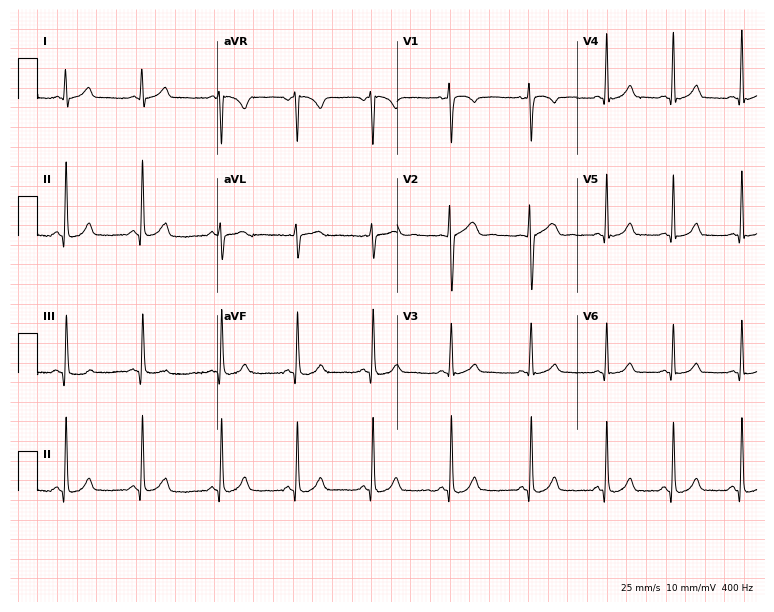
ECG (7.3-second recording at 400 Hz) — a 20-year-old female. Labelled as a normal ECG.